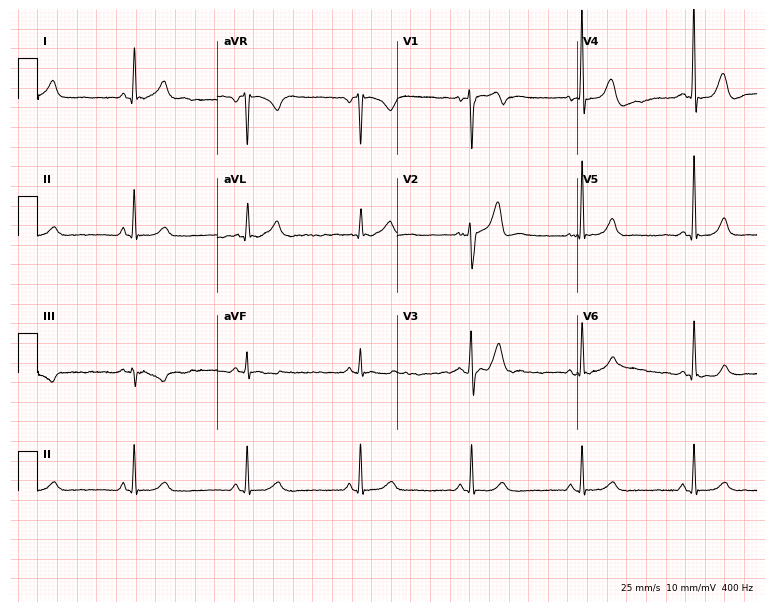
Electrocardiogram, a male, 70 years old. Of the six screened findings (first-degree AV block, right bundle branch block, left bundle branch block, sinus bradycardia, atrial fibrillation, sinus tachycardia), none is recorded. Other findings, if any, are not listed.